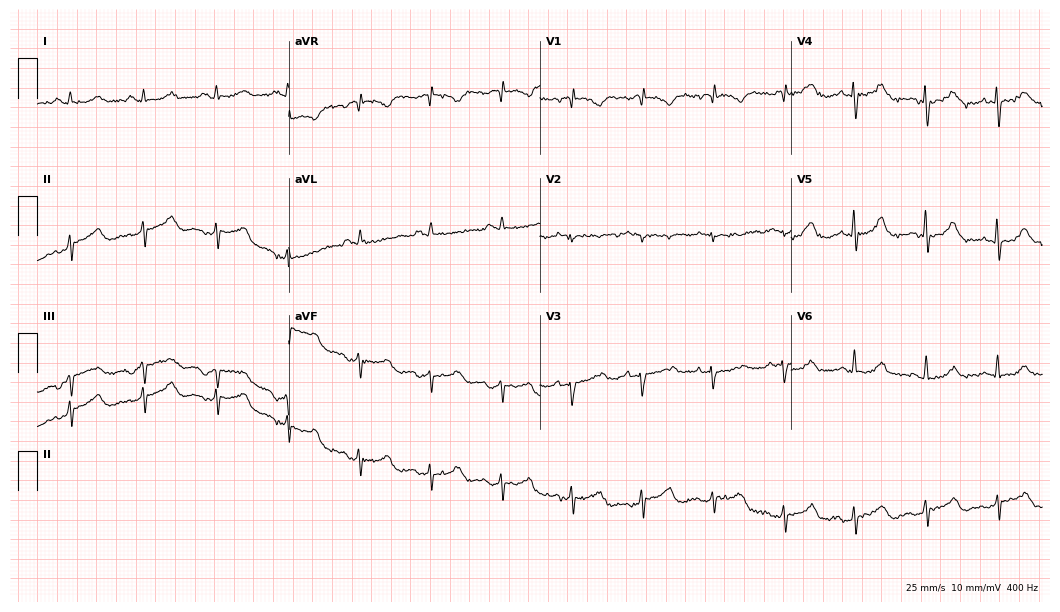
Electrocardiogram, a male patient, 62 years old. Of the six screened findings (first-degree AV block, right bundle branch block, left bundle branch block, sinus bradycardia, atrial fibrillation, sinus tachycardia), none is recorded. Other findings, if any, are not listed.